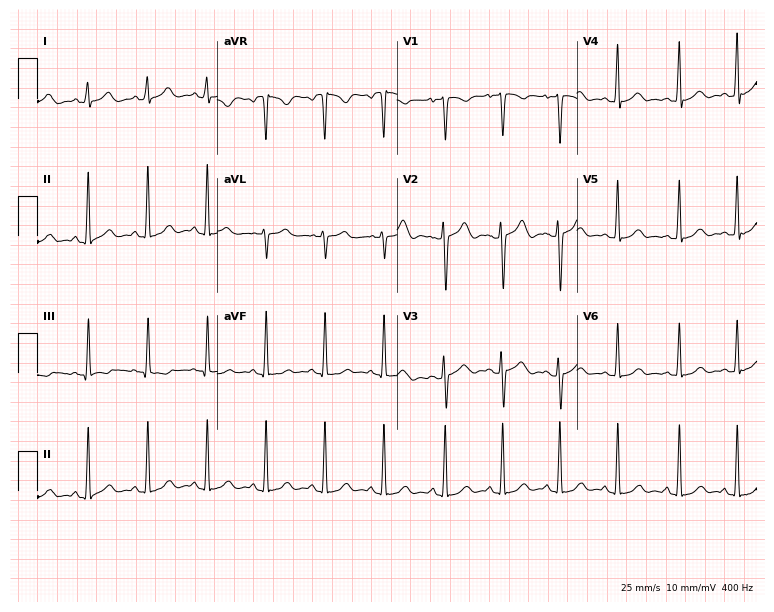
12-lead ECG (7.3-second recording at 400 Hz) from a man, 35 years old. Screened for six findings — first-degree AV block, right bundle branch block, left bundle branch block, sinus bradycardia, atrial fibrillation, sinus tachycardia — none is recorded.